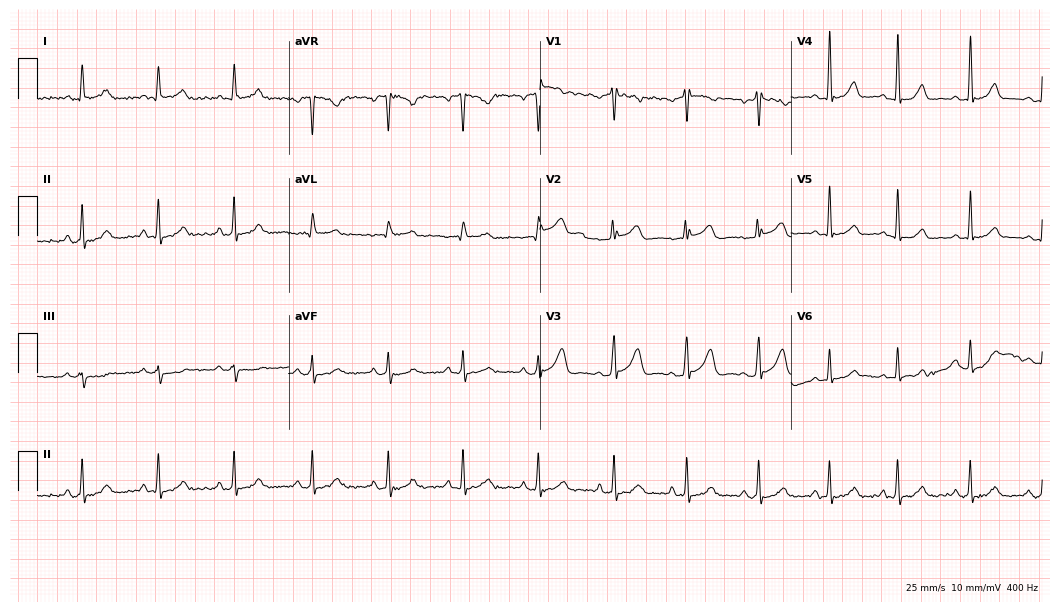
Standard 12-lead ECG recorded from a 41-year-old female (10.2-second recording at 400 Hz). None of these six findings is recorded: first-degree AV block, right bundle branch block (RBBB), left bundle branch block (LBBB), sinus bradycardia, atrial fibrillation (AF), sinus tachycardia.